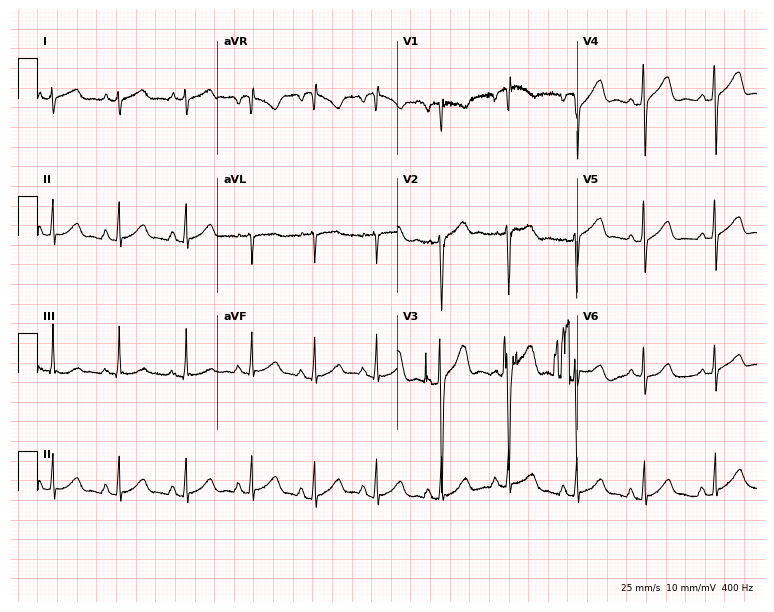
Standard 12-lead ECG recorded from a 34-year-old female patient (7.3-second recording at 400 Hz). Read as a normal ECG.